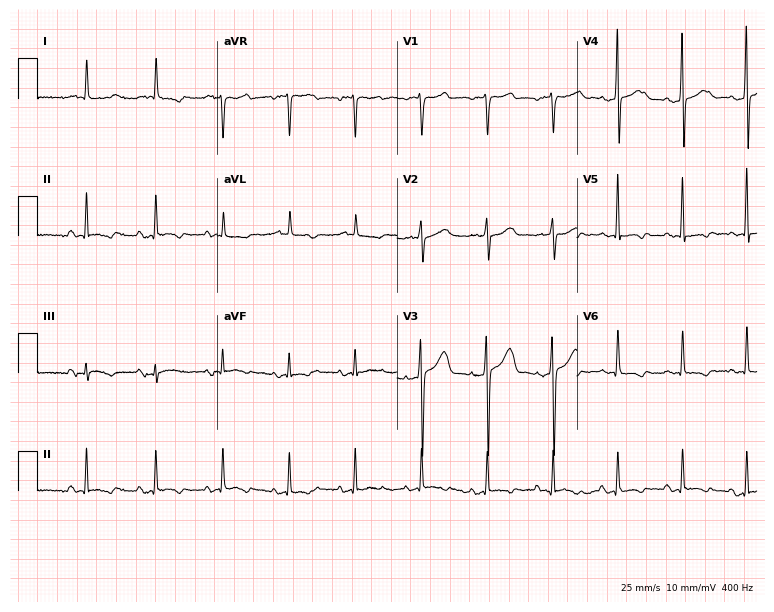
12-lead ECG from a male, 84 years old. Screened for six findings — first-degree AV block, right bundle branch block, left bundle branch block, sinus bradycardia, atrial fibrillation, sinus tachycardia — none is recorded. Findings outside these six are not listed.